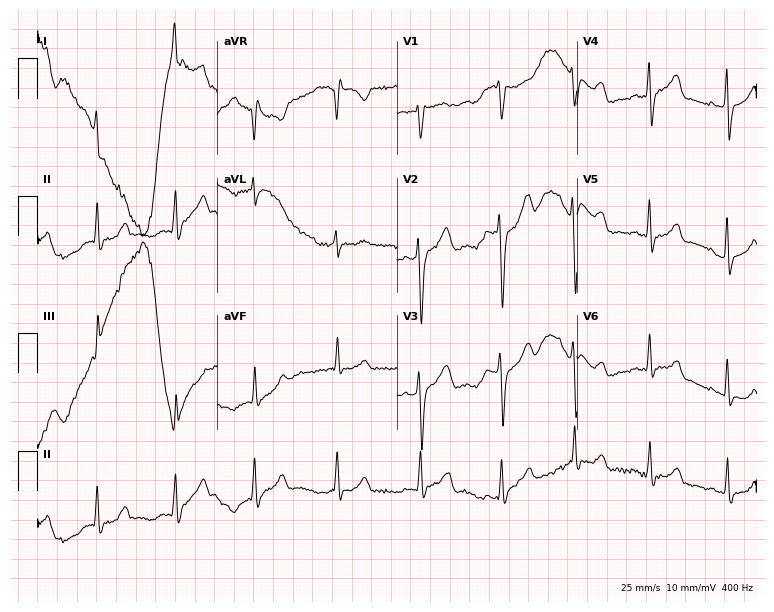
12-lead ECG from a 28-year-old female patient. Screened for six findings — first-degree AV block, right bundle branch block (RBBB), left bundle branch block (LBBB), sinus bradycardia, atrial fibrillation (AF), sinus tachycardia — none is recorded. Only these six findings were labelled.